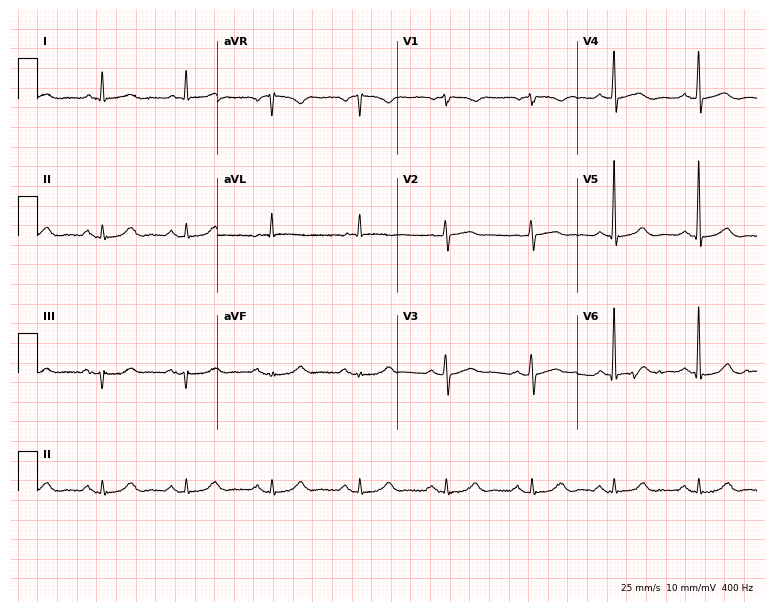
12-lead ECG from a 65-year-old female. Recorded interpretation: within normal limits.